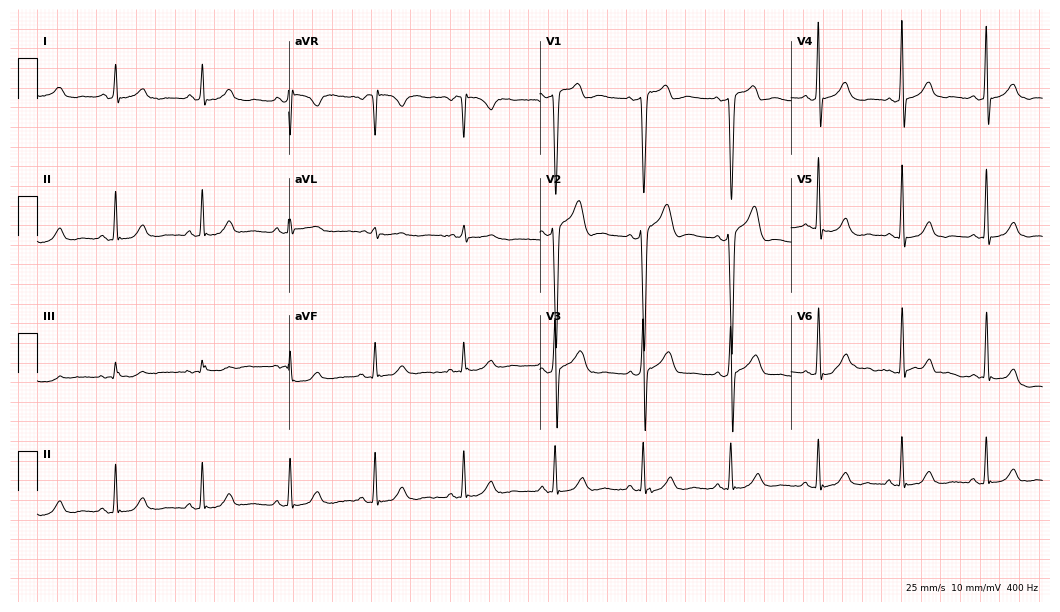
Resting 12-lead electrocardiogram (10.2-second recording at 400 Hz). Patient: a man, 24 years old. None of these six findings is recorded: first-degree AV block, right bundle branch block, left bundle branch block, sinus bradycardia, atrial fibrillation, sinus tachycardia. Only these six findings were labelled.